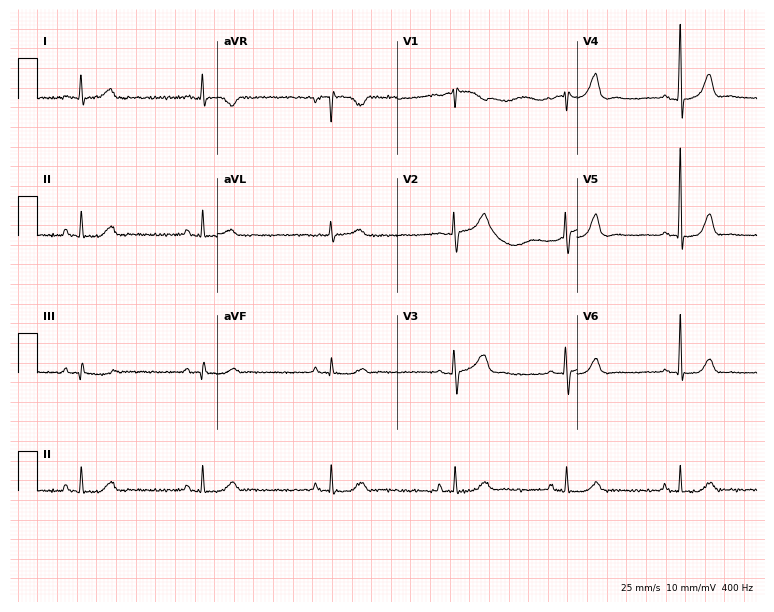
Resting 12-lead electrocardiogram. Patient: a female, 69 years old. The tracing shows sinus bradycardia (a sinus rate of 50 beats per minute or less).